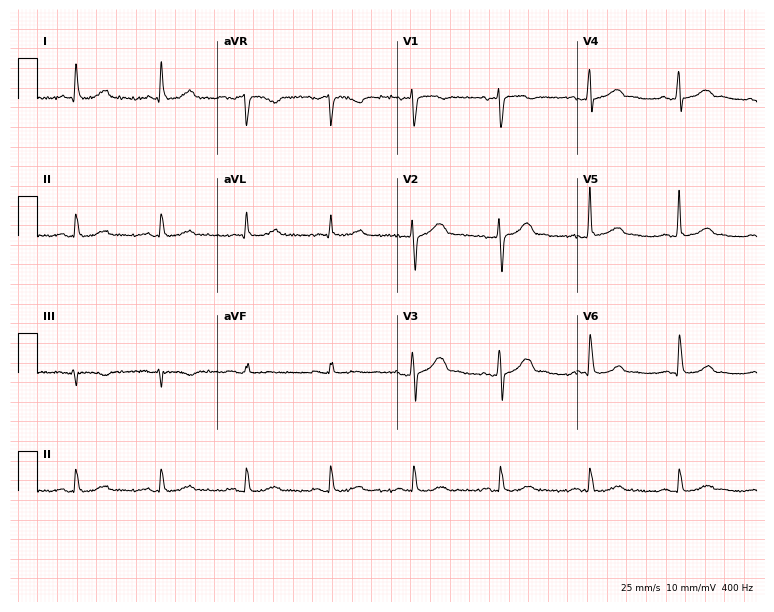
12-lead ECG from a 69-year-old male. Recorded interpretation: within normal limits.